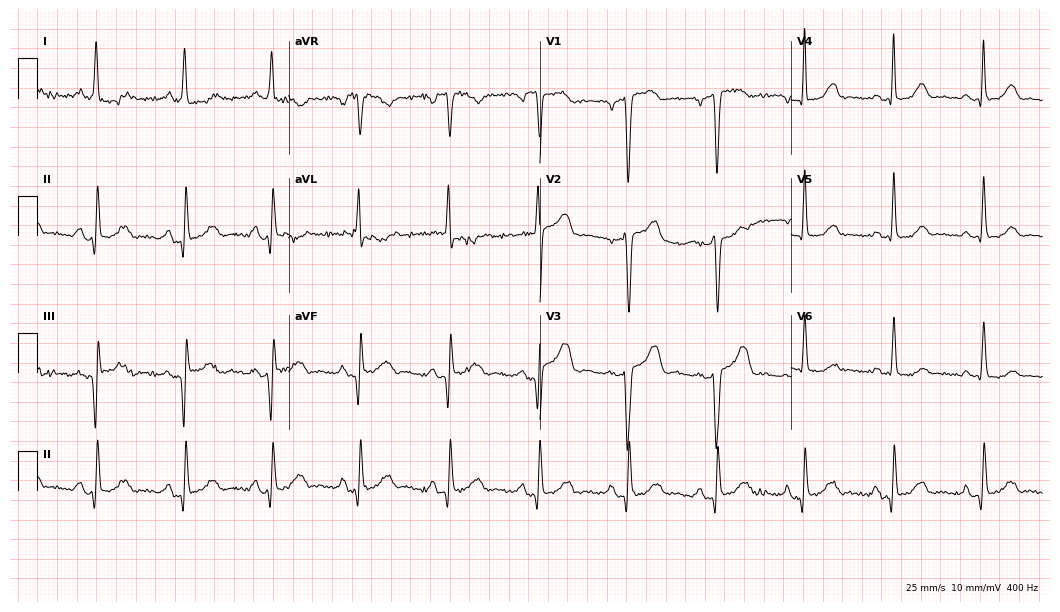
12-lead ECG (10.2-second recording at 400 Hz) from a female, 72 years old. Screened for six findings — first-degree AV block, right bundle branch block, left bundle branch block, sinus bradycardia, atrial fibrillation, sinus tachycardia — none is recorded. Other findings, if any, are not listed.